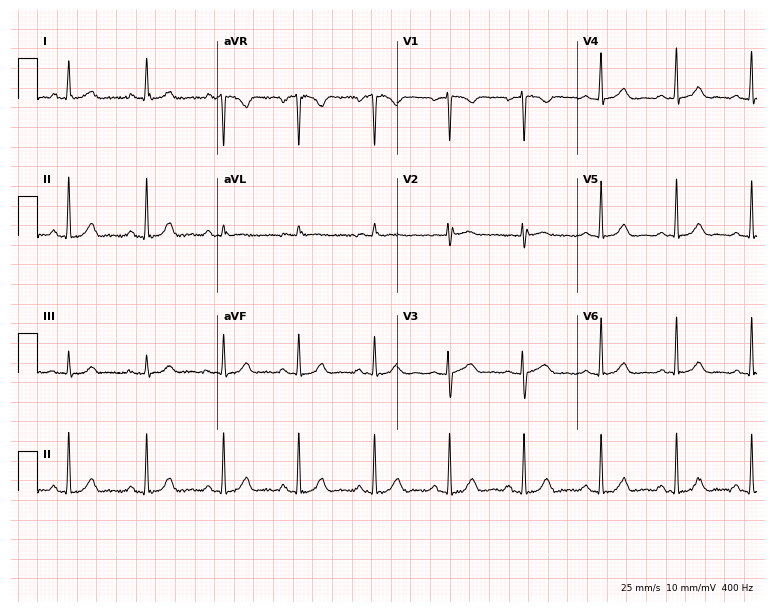
ECG (7.3-second recording at 400 Hz) — a woman, 37 years old. Labelled as a normal ECG.